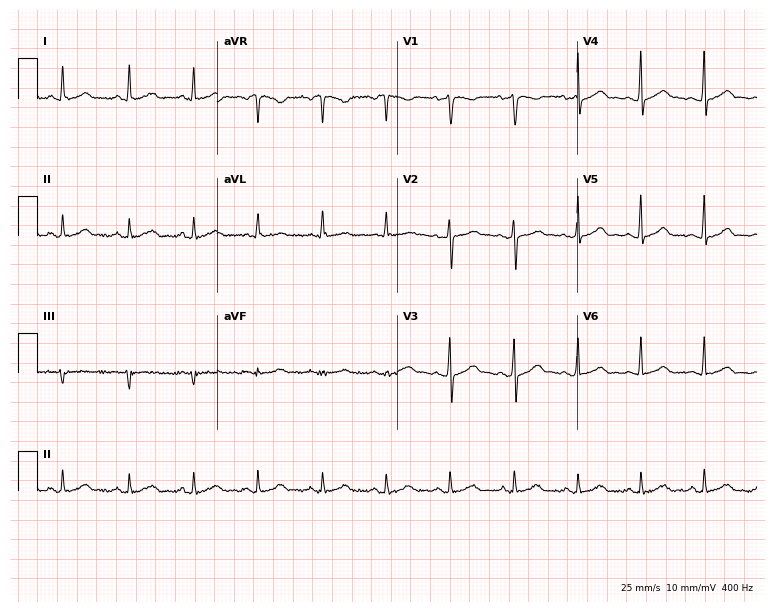
12-lead ECG (7.3-second recording at 400 Hz) from a female patient, 29 years old. Screened for six findings — first-degree AV block, right bundle branch block (RBBB), left bundle branch block (LBBB), sinus bradycardia, atrial fibrillation (AF), sinus tachycardia — none is recorded. Only these six findings were labelled.